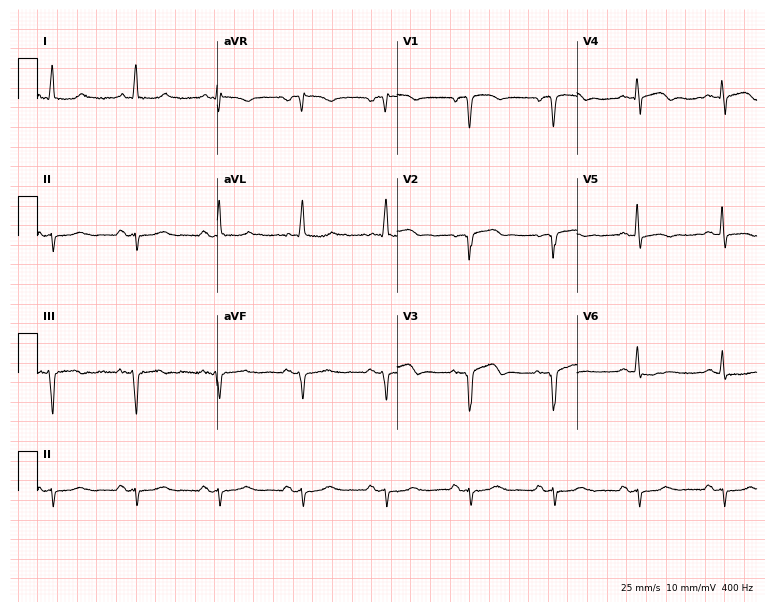
12-lead ECG from a female patient, 76 years old. Screened for six findings — first-degree AV block, right bundle branch block, left bundle branch block, sinus bradycardia, atrial fibrillation, sinus tachycardia — none is recorded.